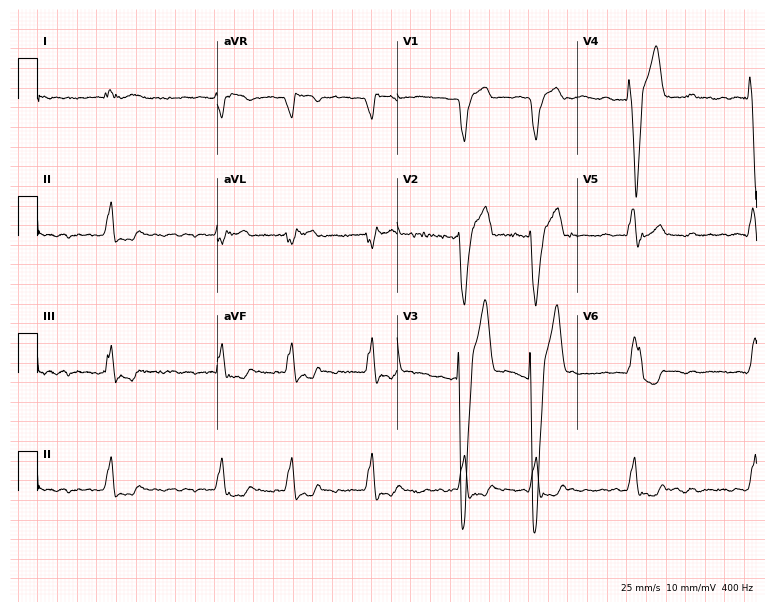
ECG — a man, 54 years old. Findings include left bundle branch block, atrial fibrillation.